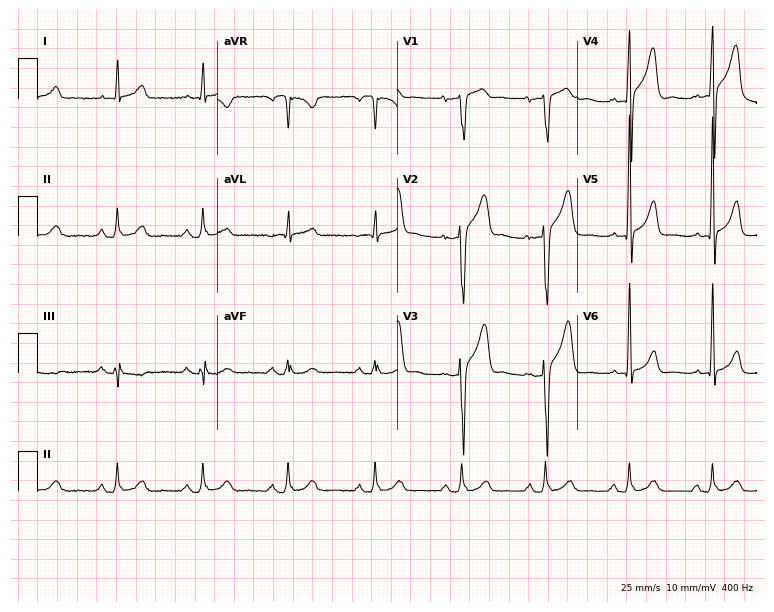
Electrocardiogram, a 53-year-old man. Of the six screened findings (first-degree AV block, right bundle branch block (RBBB), left bundle branch block (LBBB), sinus bradycardia, atrial fibrillation (AF), sinus tachycardia), none is recorded.